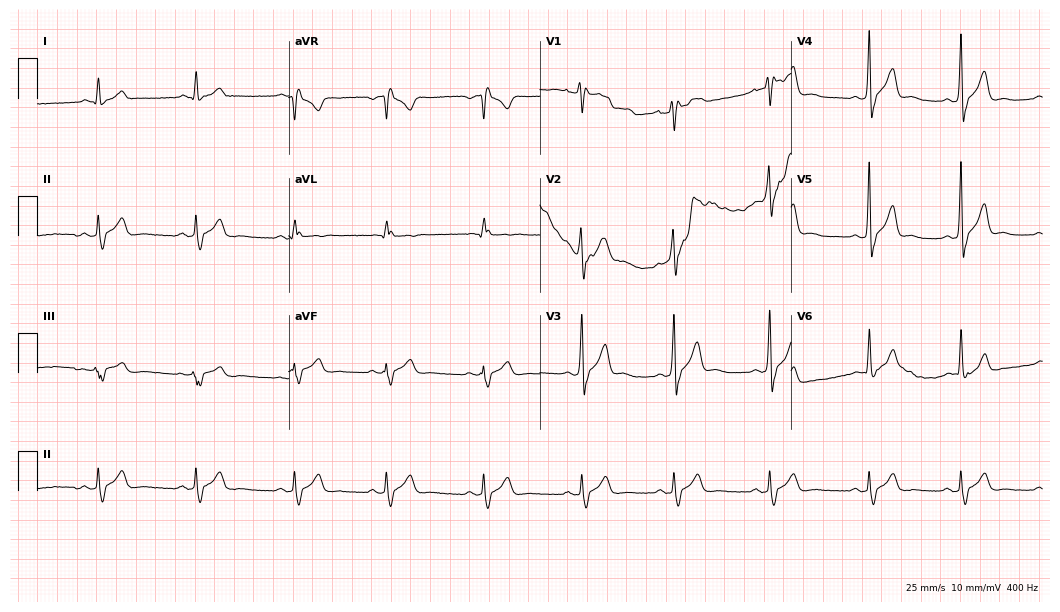
Electrocardiogram, a 17-year-old male patient. Of the six screened findings (first-degree AV block, right bundle branch block (RBBB), left bundle branch block (LBBB), sinus bradycardia, atrial fibrillation (AF), sinus tachycardia), none is recorded. Only these six findings were labelled.